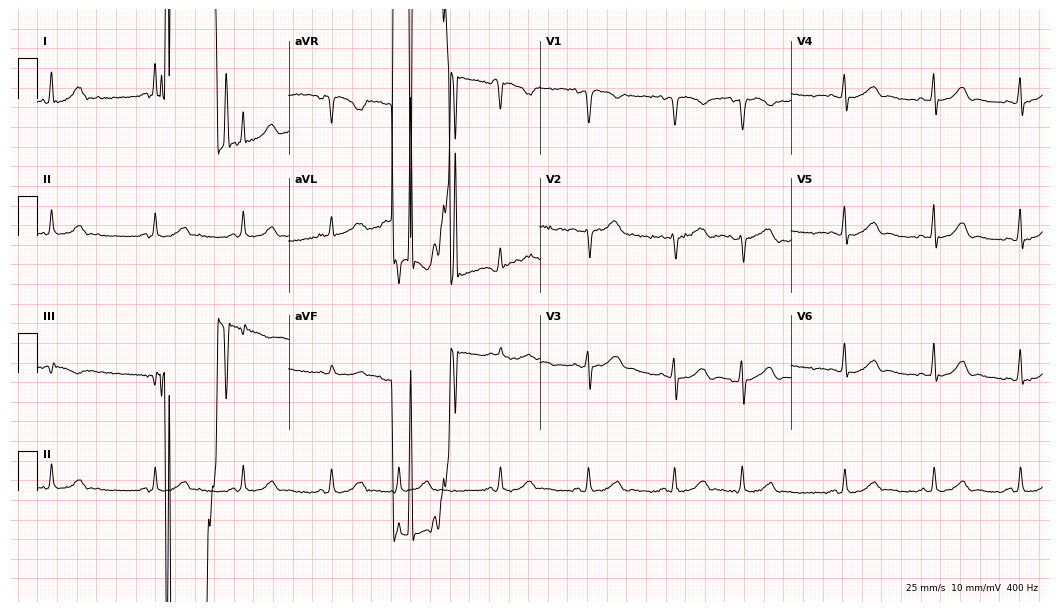
12-lead ECG from a female patient, 60 years old (10.2-second recording at 400 Hz). No first-degree AV block, right bundle branch block (RBBB), left bundle branch block (LBBB), sinus bradycardia, atrial fibrillation (AF) or sinus tachycardia recorded for this tracing. Other findings, if any, are not listed.